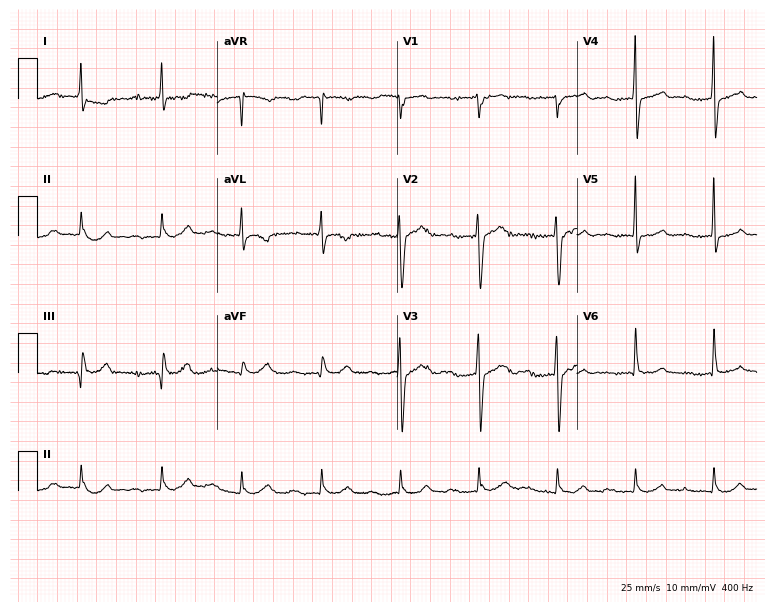
Electrocardiogram, a man, 64 years old. Interpretation includes first-degree AV block.